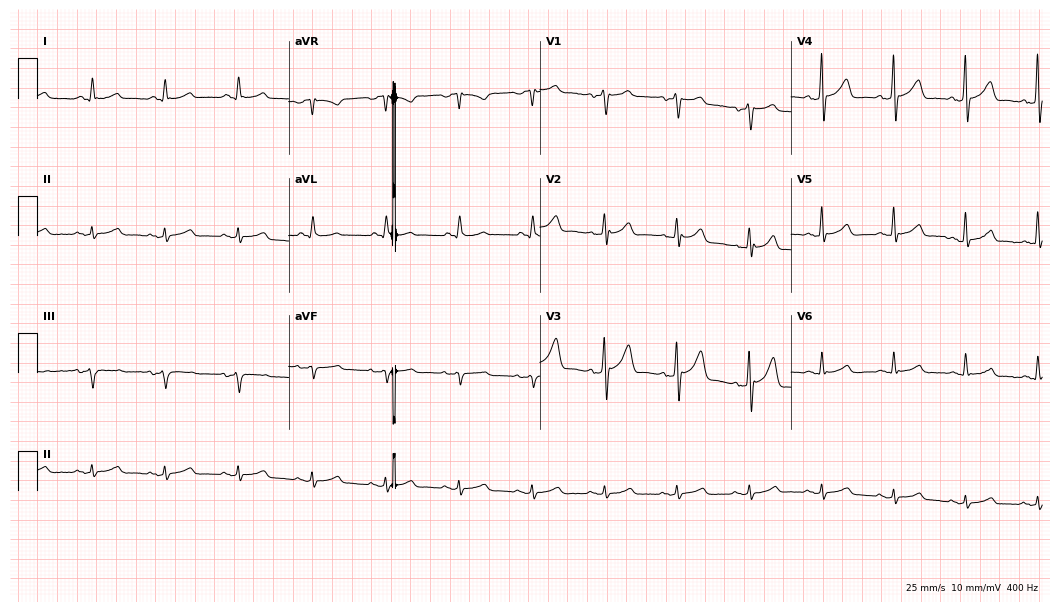
Electrocardiogram, a 64-year-old man. Of the six screened findings (first-degree AV block, right bundle branch block, left bundle branch block, sinus bradycardia, atrial fibrillation, sinus tachycardia), none is recorded. Only these six findings were labelled.